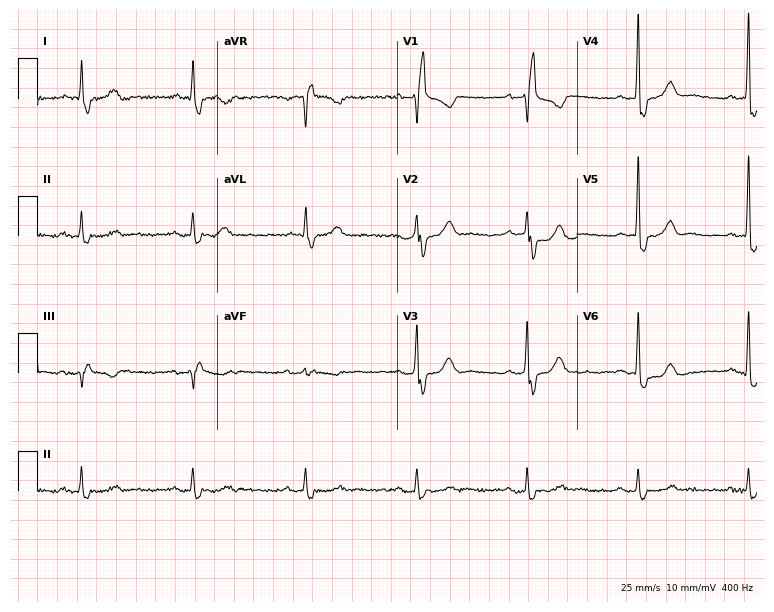
Standard 12-lead ECG recorded from a male patient, 75 years old. The tracing shows right bundle branch block (RBBB).